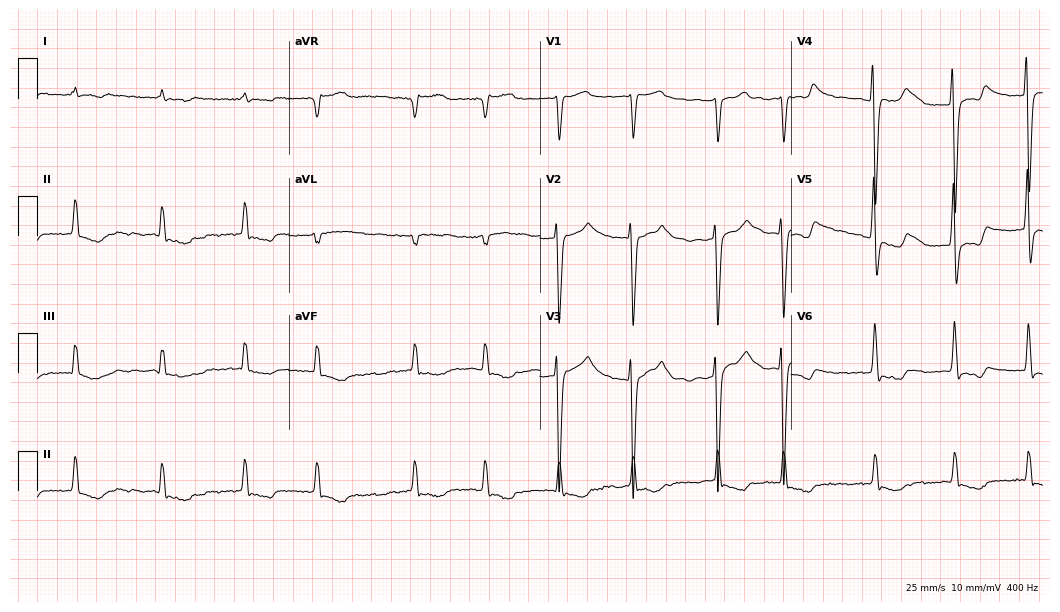
Electrocardiogram, a male, 78 years old. Interpretation includes atrial fibrillation.